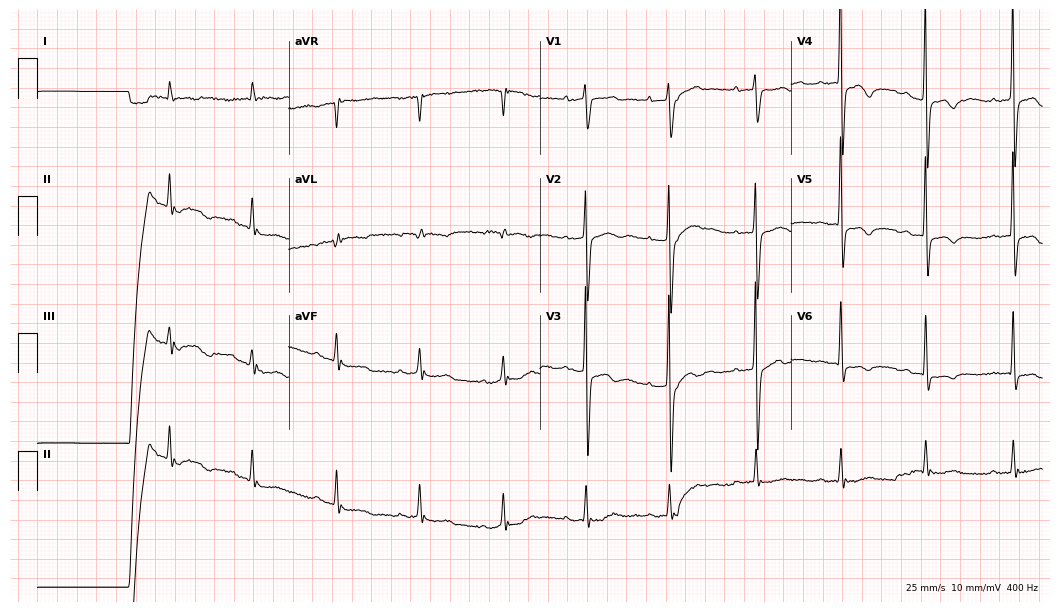
ECG — a female, 77 years old. Findings include first-degree AV block.